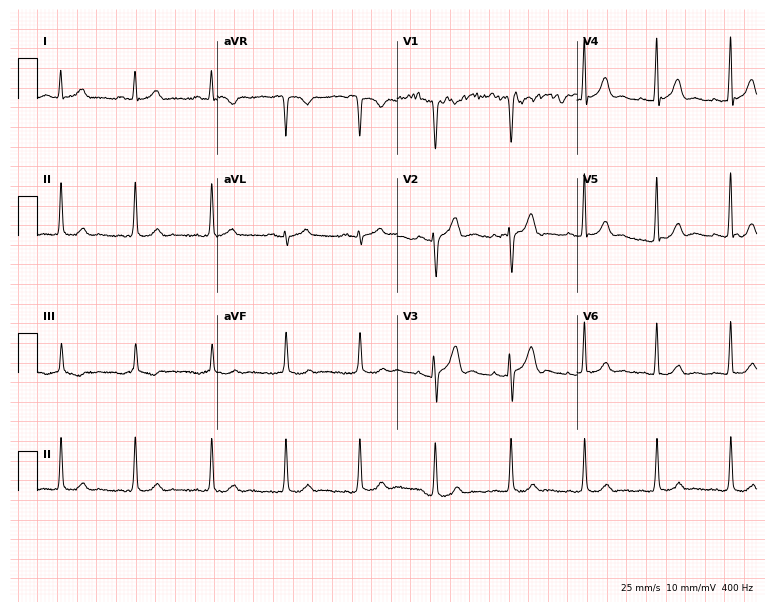
ECG (7.3-second recording at 400 Hz) — a 44-year-old male patient. Screened for six findings — first-degree AV block, right bundle branch block (RBBB), left bundle branch block (LBBB), sinus bradycardia, atrial fibrillation (AF), sinus tachycardia — none is recorded. Other findings, if any, are not listed.